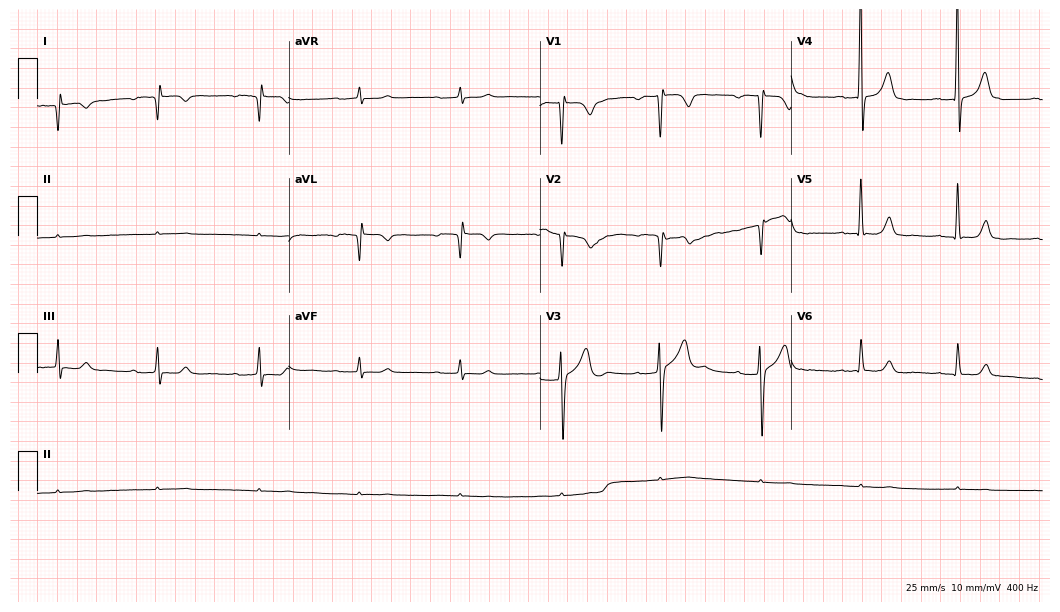
12-lead ECG from an 80-year-old male. Screened for six findings — first-degree AV block, right bundle branch block, left bundle branch block, sinus bradycardia, atrial fibrillation, sinus tachycardia — none is recorded. Only these six findings were labelled.